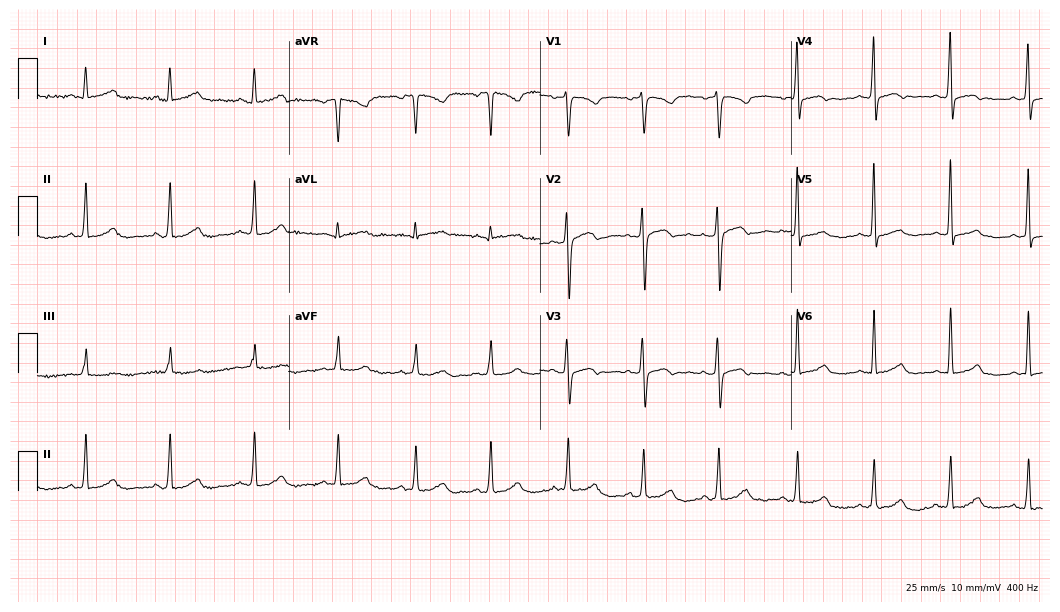
Standard 12-lead ECG recorded from a 37-year-old female patient (10.2-second recording at 400 Hz). Read as a normal ECG.